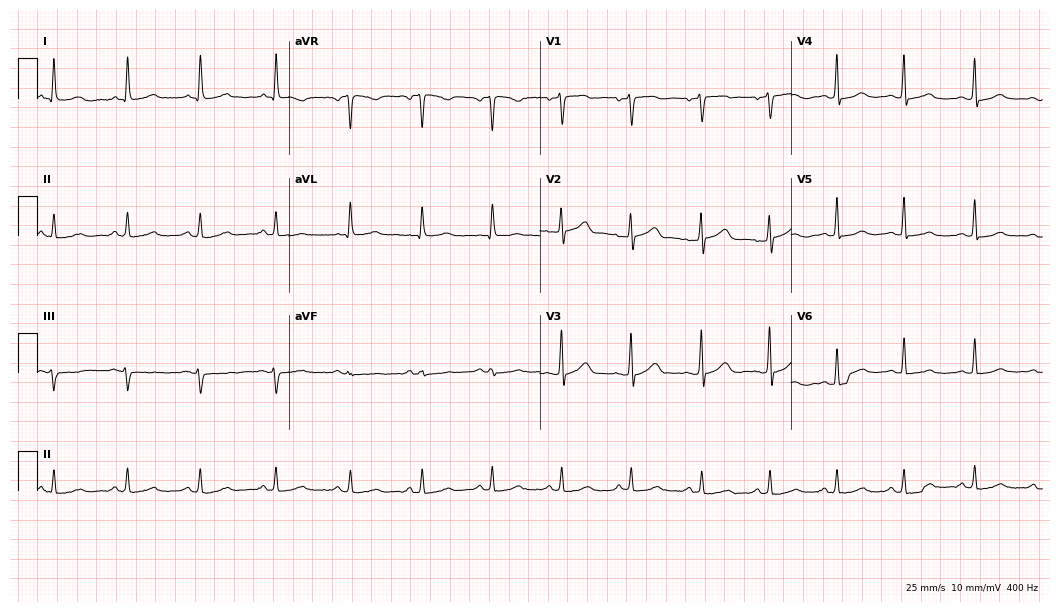
12-lead ECG (10.2-second recording at 400 Hz) from a 53-year-old female. Screened for six findings — first-degree AV block, right bundle branch block (RBBB), left bundle branch block (LBBB), sinus bradycardia, atrial fibrillation (AF), sinus tachycardia — none is recorded. Other findings, if any, are not listed.